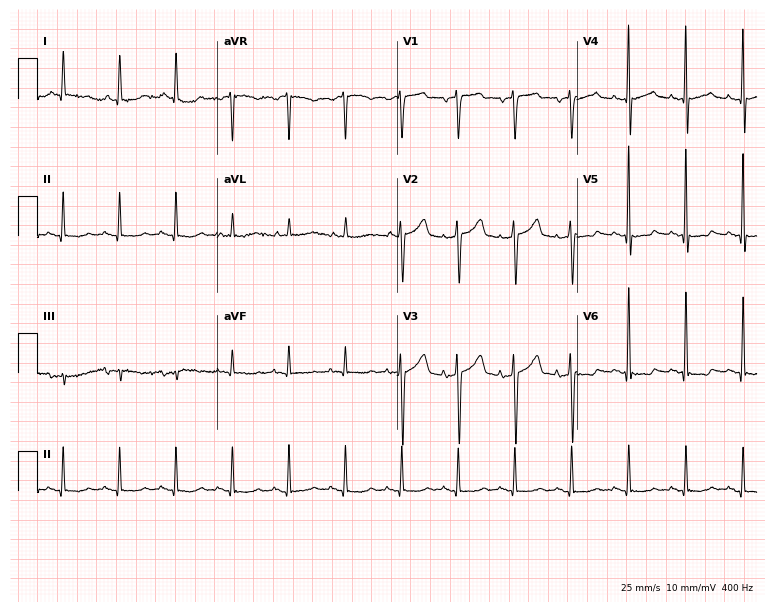
12-lead ECG (7.3-second recording at 400 Hz) from a male patient, 66 years old. Findings include sinus tachycardia (a sinus rate of 100 beats per minute or more).